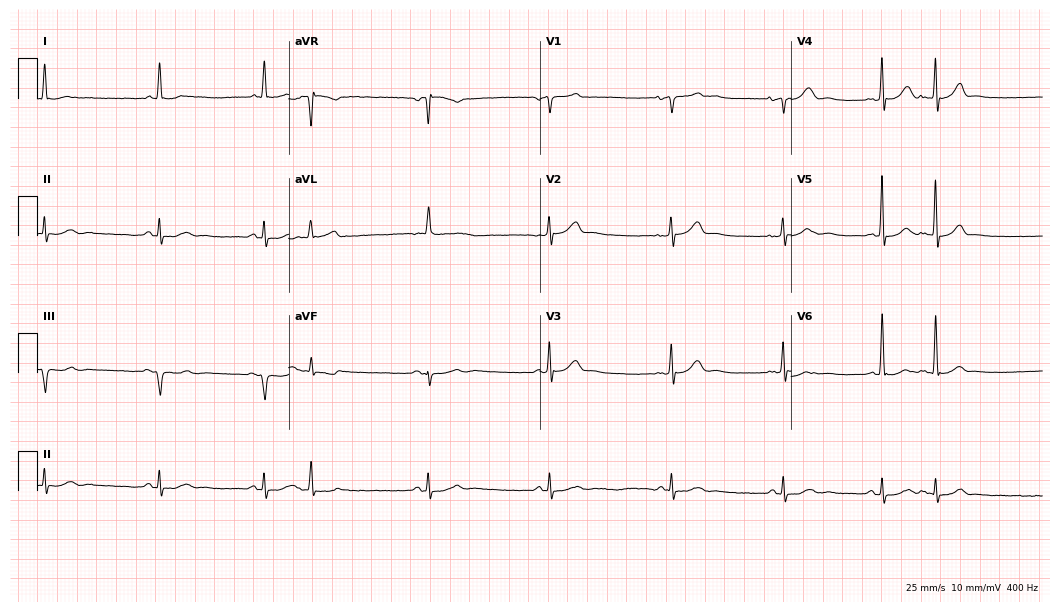
ECG — a male patient, 78 years old. Screened for six findings — first-degree AV block, right bundle branch block, left bundle branch block, sinus bradycardia, atrial fibrillation, sinus tachycardia — none is recorded.